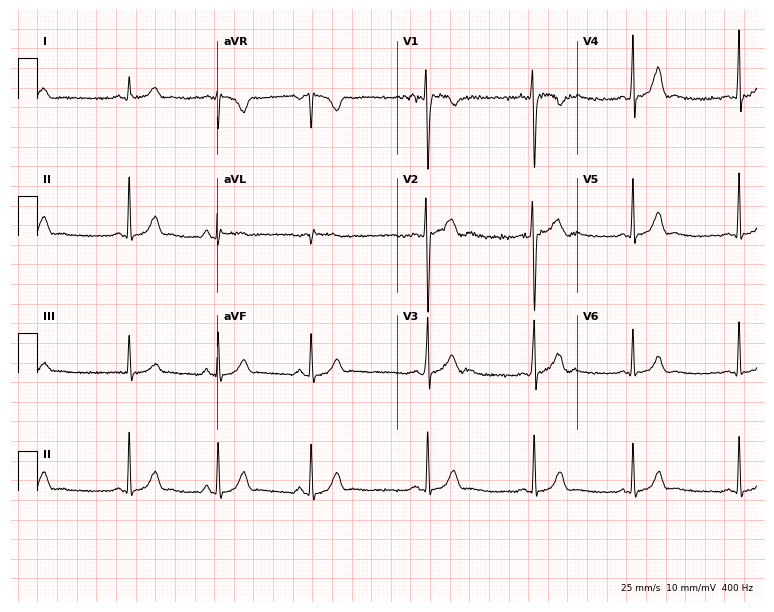
12-lead ECG (7.3-second recording at 400 Hz) from a male patient, 20 years old. Labelled as a normal ECG.